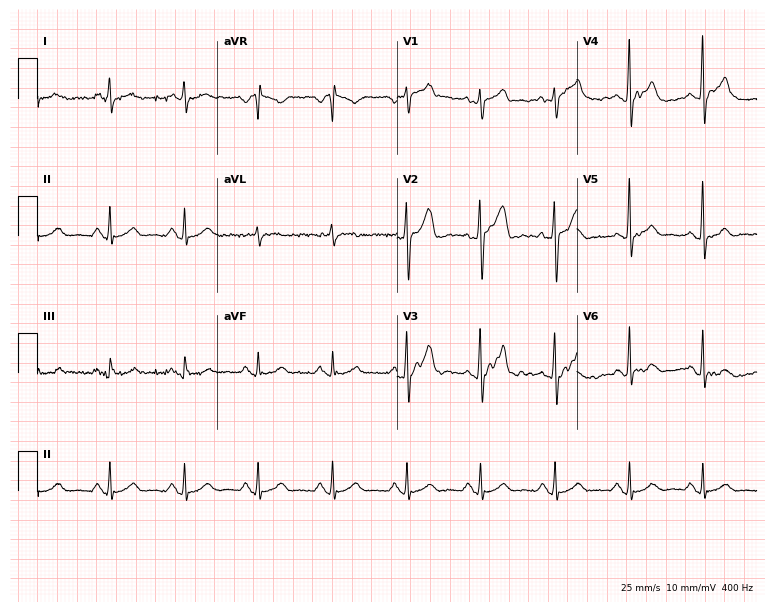
Electrocardiogram, a 53-year-old male. Overall reading on record: normal ECG.